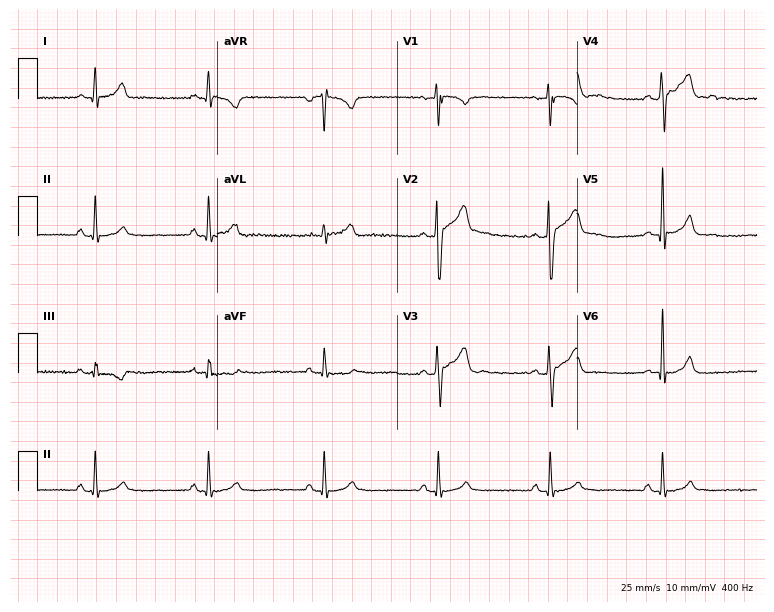
ECG (7.3-second recording at 400 Hz) — a 37-year-old male. Labelled as a normal ECG.